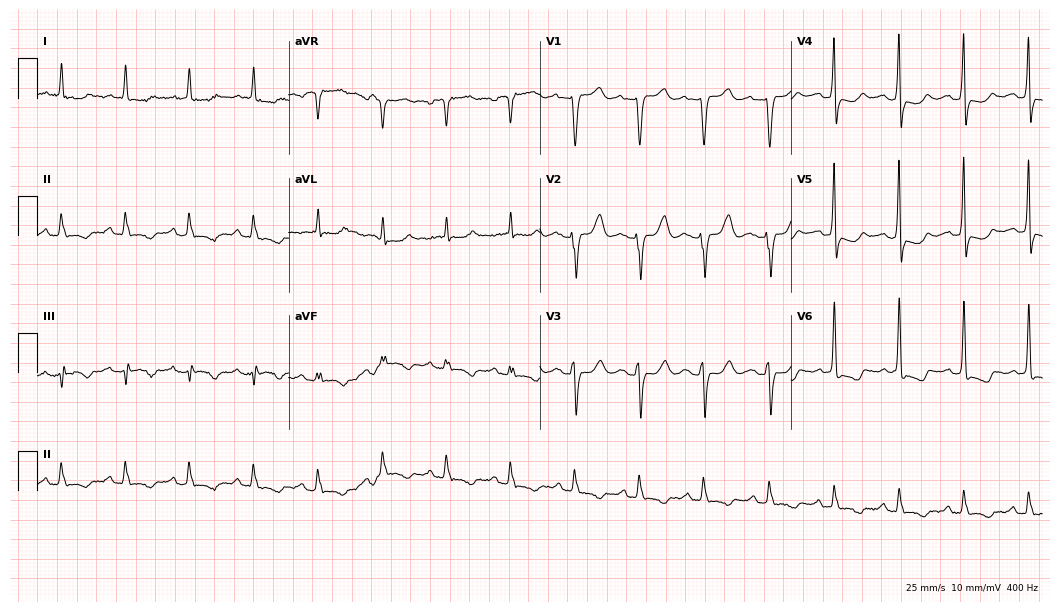
12-lead ECG (10.2-second recording at 400 Hz) from a 67-year-old female. Screened for six findings — first-degree AV block, right bundle branch block, left bundle branch block, sinus bradycardia, atrial fibrillation, sinus tachycardia — none is recorded. Other findings, if any, are not listed.